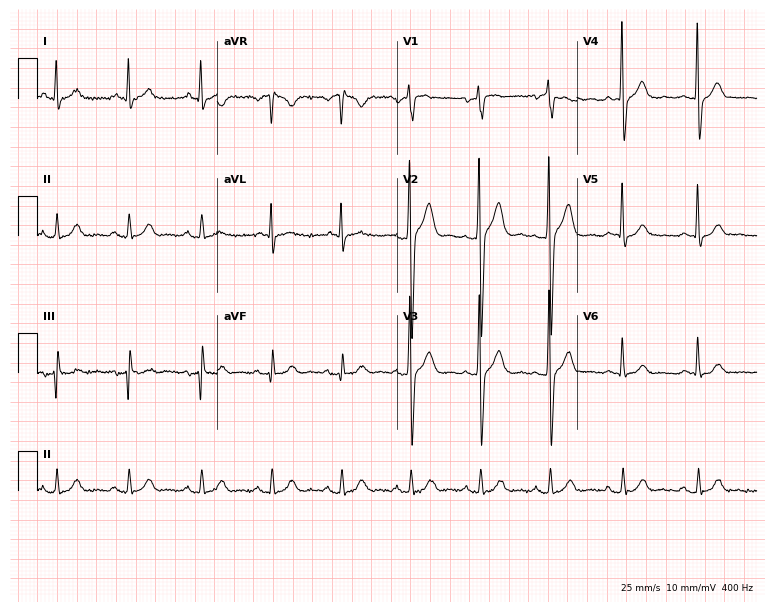
12-lead ECG (7.3-second recording at 400 Hz) from a 46-year-old man. Labelled as a normal ECG.